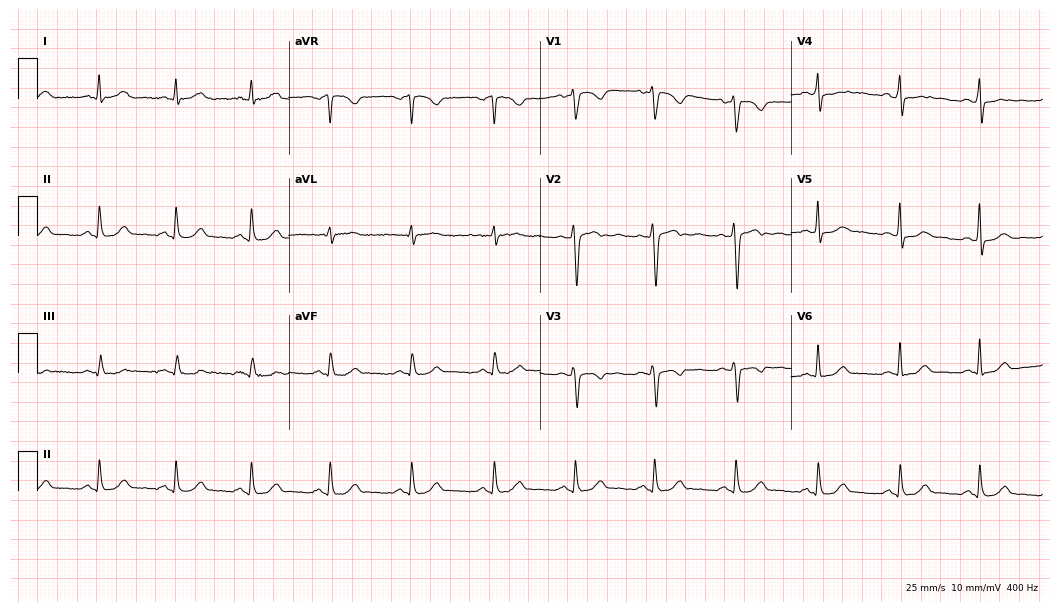
ECG (10.2-second recording at 400 Hz) — a 34-year-old female patient. Screened for six findings — first-degree AV block, right bundle branch block (RBBB), left bundle branch block (LBBB), sinus bradycardia, atrial fibrillation (AF), sinus tachycardia — none is recorded. Findings outside these six are not listed.